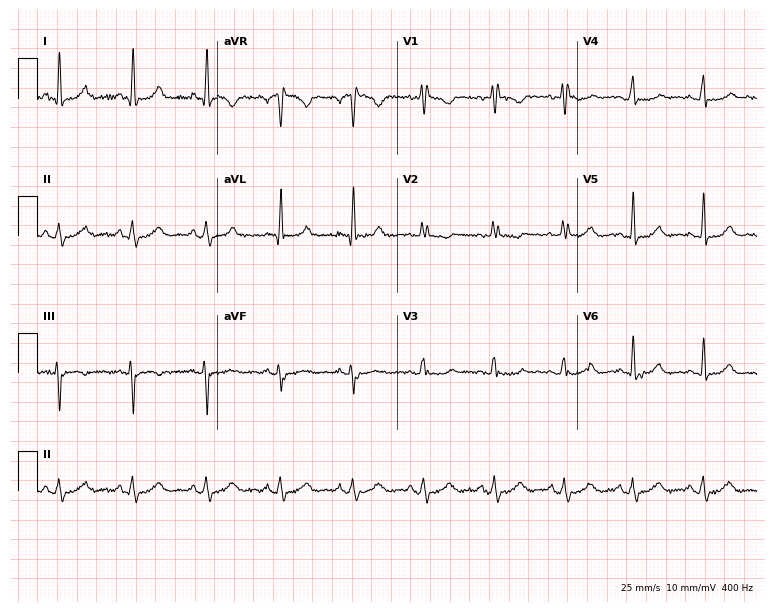
Standard 12-lead ECG recorded from a female, 43 years old. None of these six findings is recorded: first-degree AV block, right bundle branch block, left bundle branch block, sinus bradycardia, atrial fibrillation, sinus tachycardia. Findings outside these six are not listed.